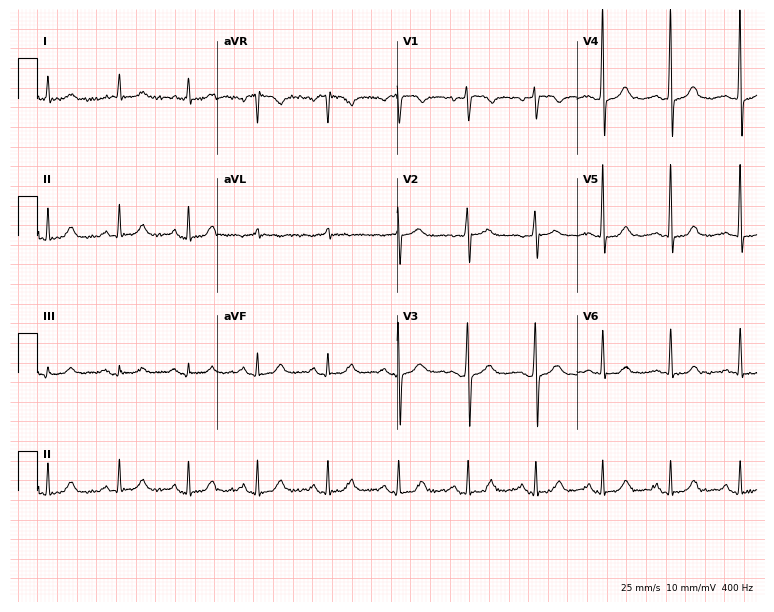
Electrocardiogram (7.3-second recording at 400 Hz), a woman, 55 years old. Of the six screened findings (first-degree AV block, right bundle branch block (RBBB), left bundle branch block (LBBB), sinus bradycardia, atrial fibrillation (AF), sinus tachycardia), none is recorded. Only these six findings were labelled.